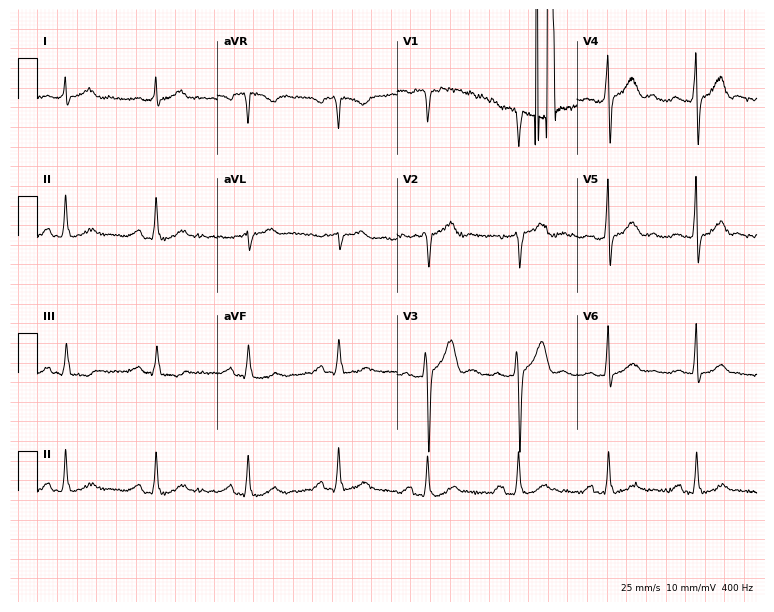
Resting 12-lead electrocardiogram (7.3-second recording at 400 Hz). Patient: a 46-year-old male. Read as a normal ECG.